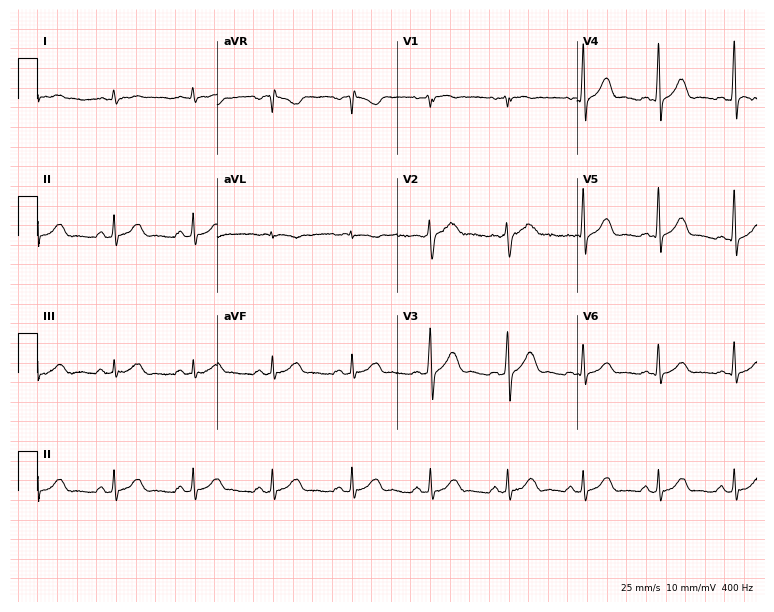
Standard 12-lead ECG recorded from a man, 57 years old. Read as a normal ECG.